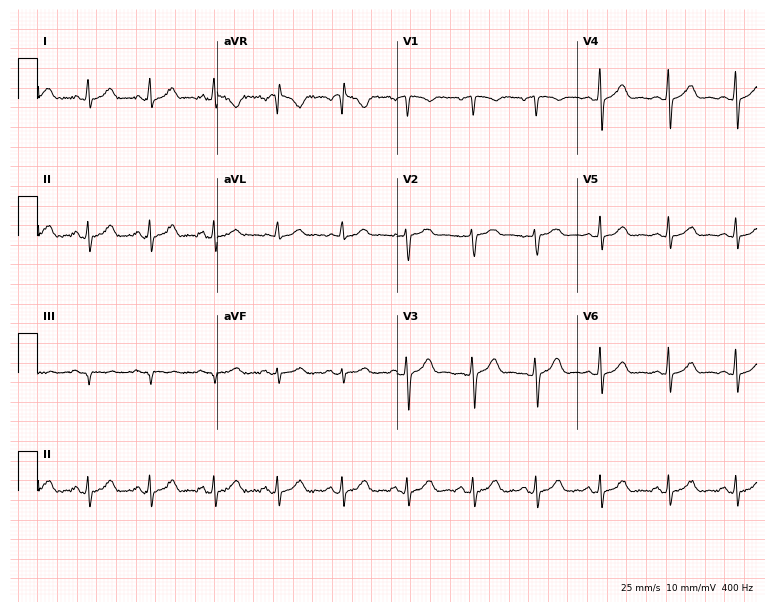
Resting 12-lead electrocardiogram. Patient: a 35-year-old female. Read as a normal ECG.